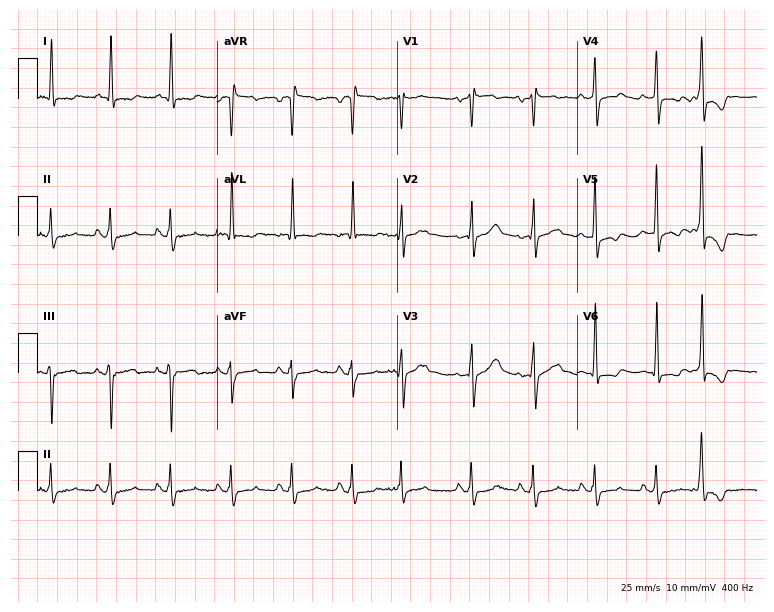
12-lead ECG from a man, 60 years old. No first-degree AV block, right bundle branch block, left bundle branch block, sinus bradycardia, atrial fibrillation or sinus tachycardia recorded for this tracing.